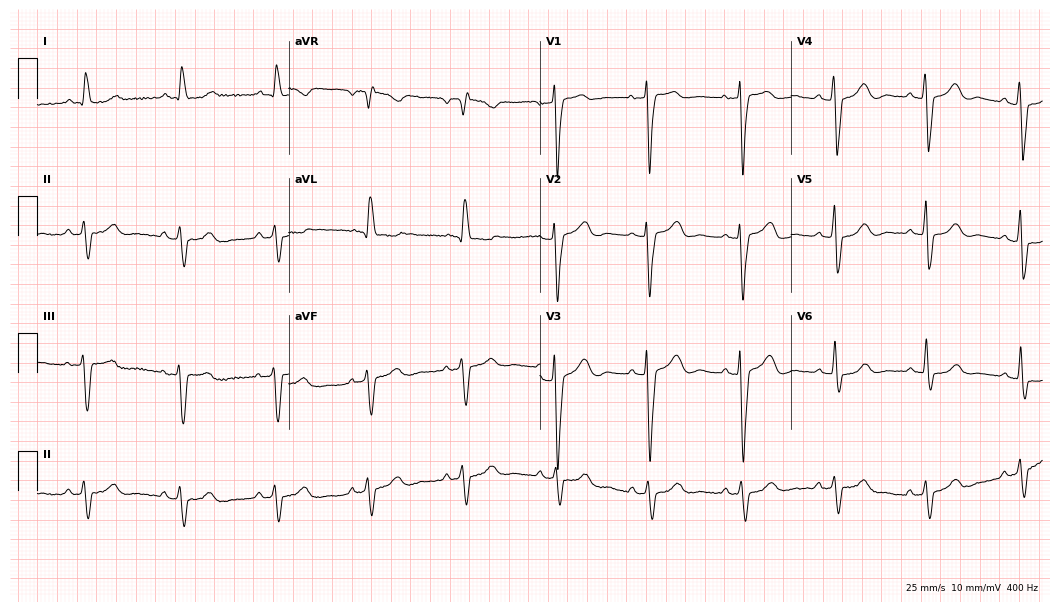
12-lead ECG from a woman, 85 years old (10.2-second recording at 400 Hz). Shows left bundle branch block.